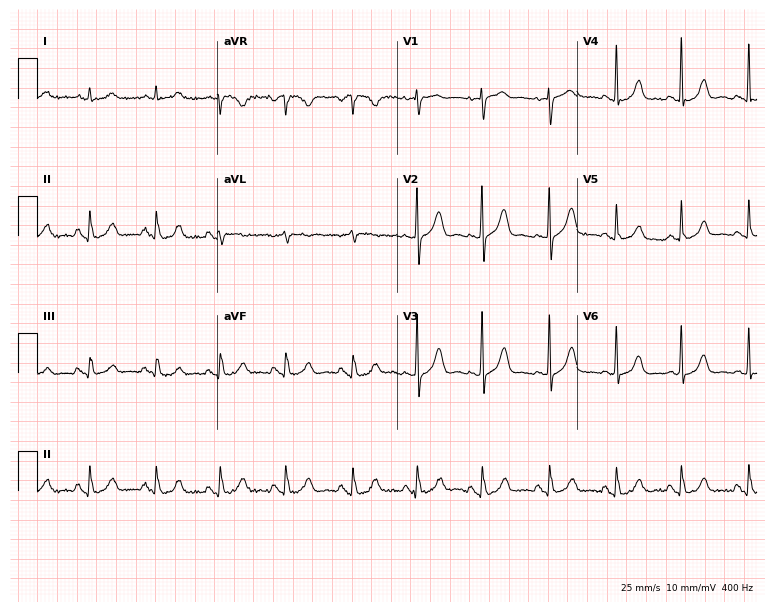
Electrocardiogram, a woman, 84 years old. Overall reading on record: normal ECG.